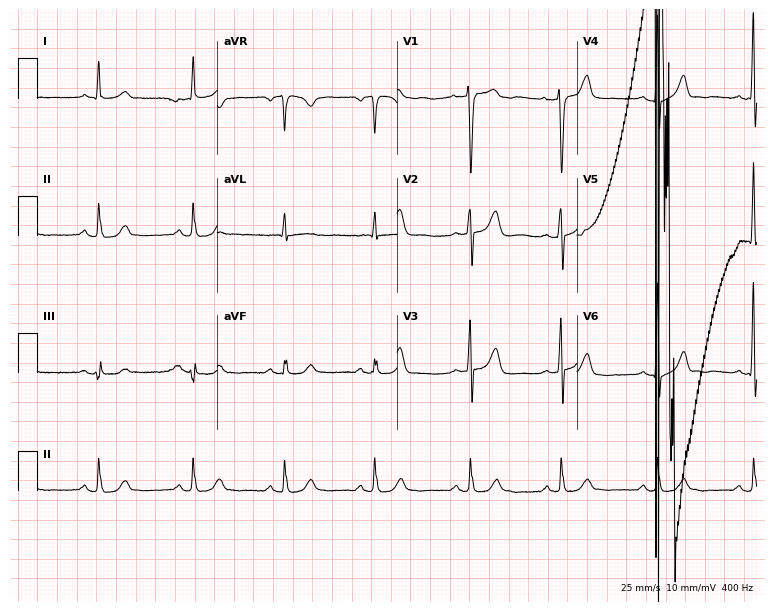
Resting 12-lead electrocardiogram. Patient: a male, 69 years old. Read as a normal ECG.